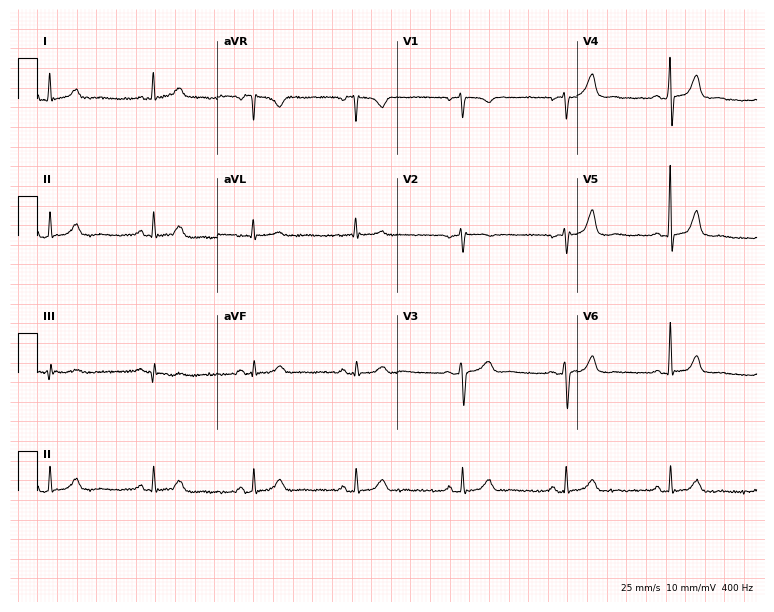
Standard 12-lead ECG recorded from a female patient, 61 years old (7.3-second recording at 400 Hz). Read as a normal ECG.